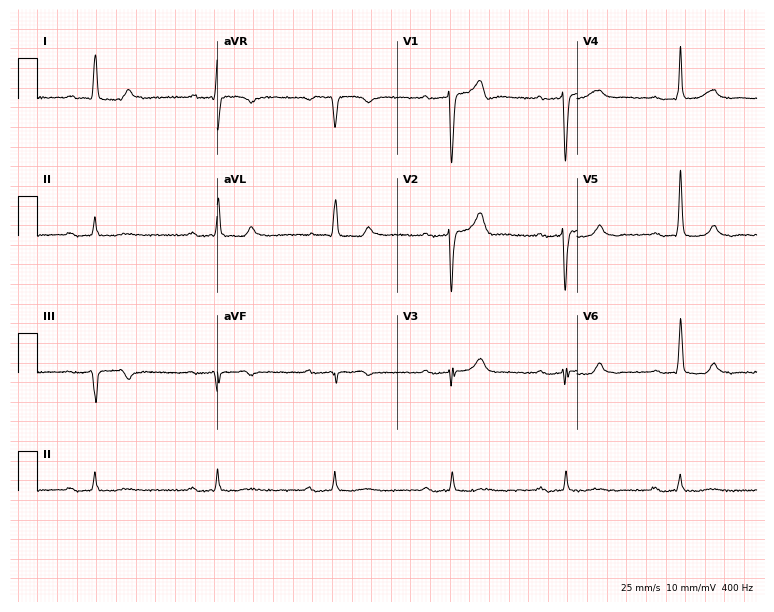
12-lead ECG from a man, 81 years old. Findings include first-degree AV block.